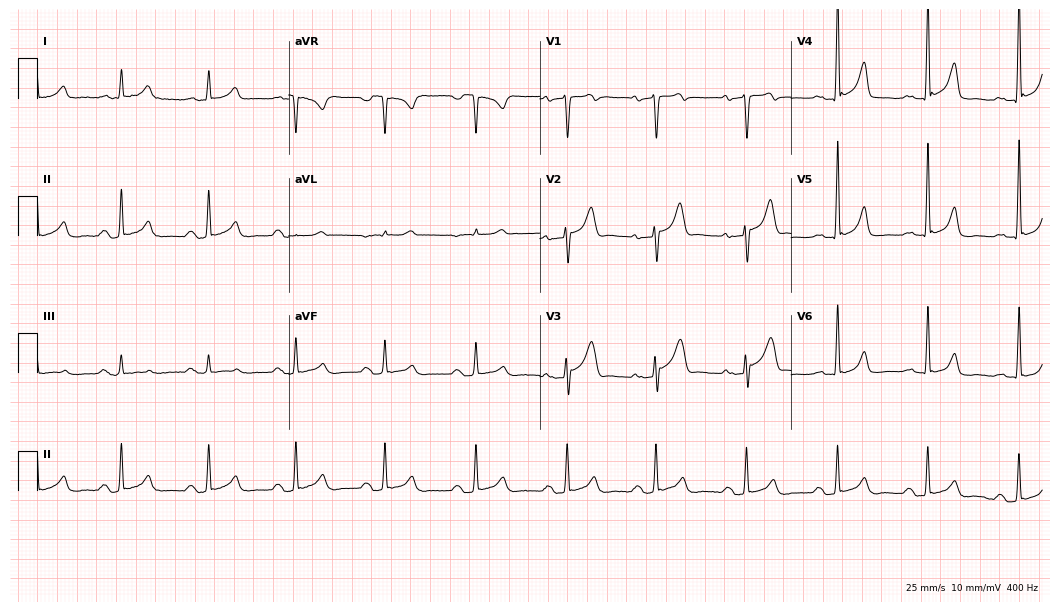
Resting 12-lead electrocardiogram (10.2-second recording at 400 Hz). Patient: a man, 63 years old. None of these six findings is recorded: first-degree AV block, right bundle branch block (RBBB), left bundle branch block (LBBB), sinus bradycardia, atrial fibrillation (AF), sinus tachycardia.